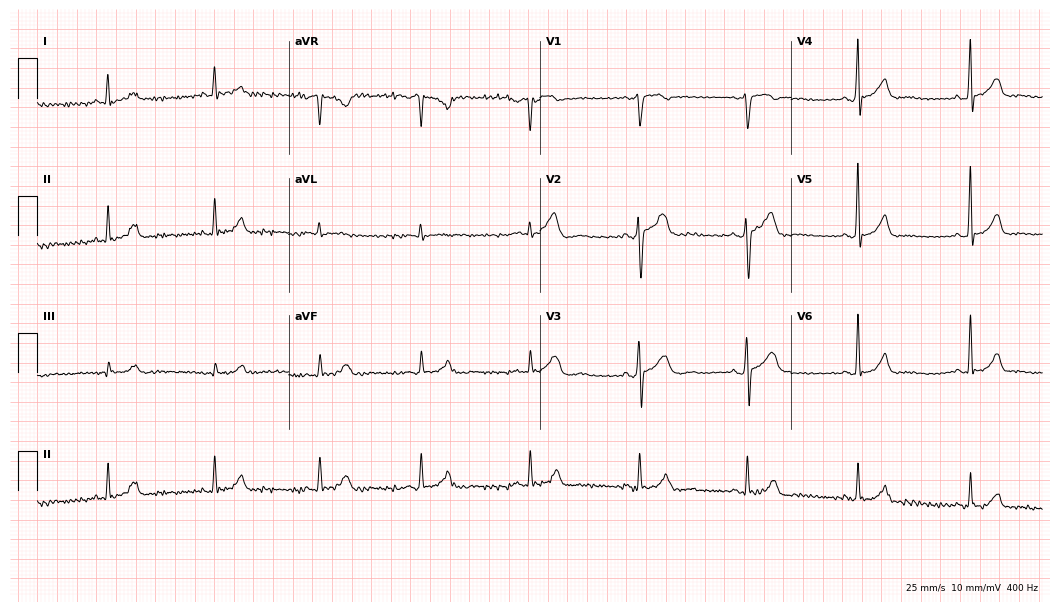
Electrocardiogram (10.2-second recording at 400 Hz), a male patient, 51 years old. Overall reading on record: normal ECG.